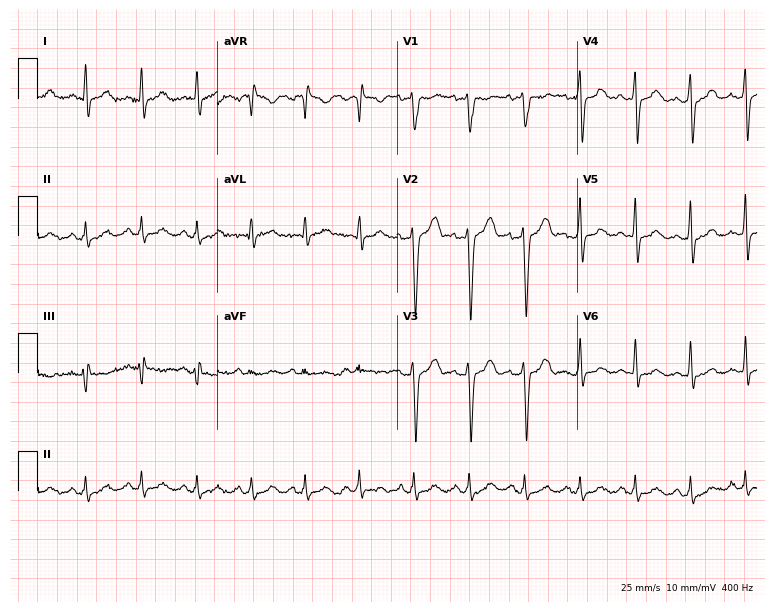
Standard 12-lead ECG recorded from a male patient, 32 years old (7.3-second recording at 400 Hz). The tracing shows sinus tachycardia (a sinus rate of 100 beats per minute or more).